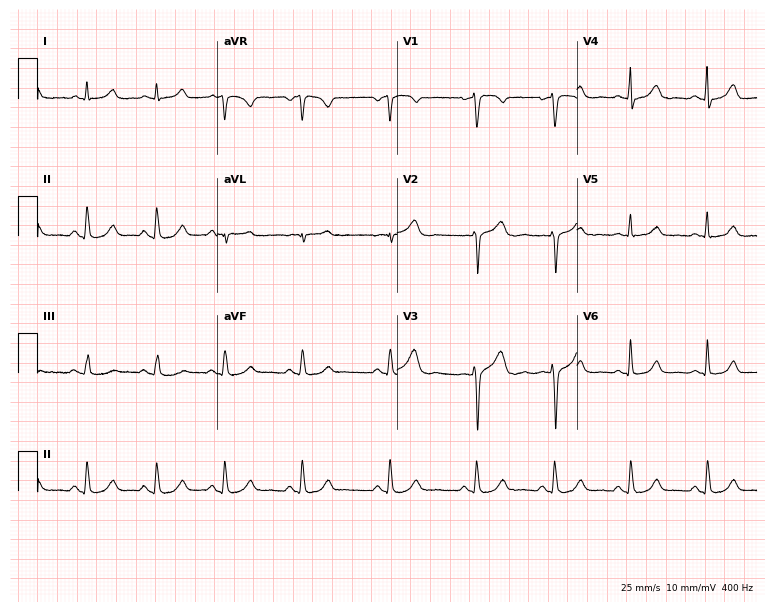
Resting 12-lead electrocardiogram (7.3-second recording at 400 Hz). Patient: a 37-year-old female. Read as a normal ECG.